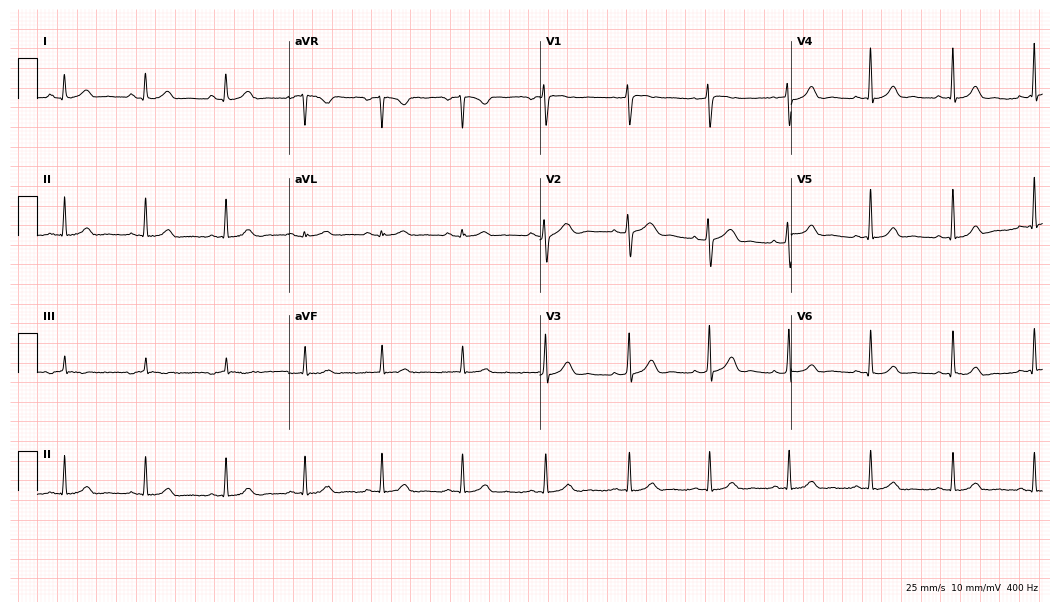
Resting 12-lead electrocardiogram (10.2-second recording at 400 Hz). Patient: a 30-year-old female. Read as a normal ECG.